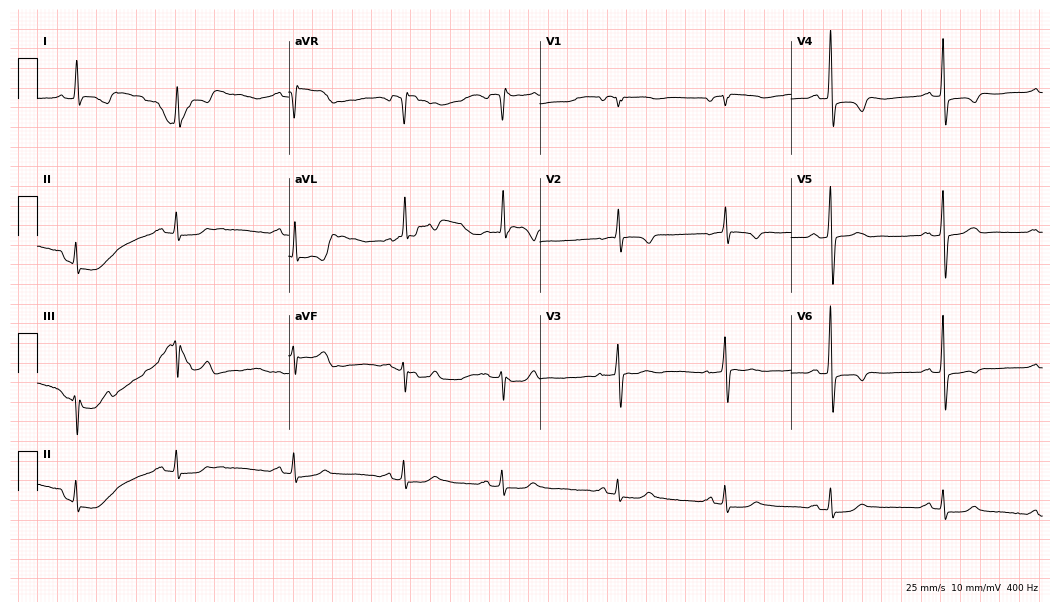
12-lead ECG from an 82-year-old male (10.2-second recording at 400 Hz). No first-degree AV block, right bundle branch block, left bundle branch block, sinus bradycardia, atrial fibrillation or sinus tachycardia recorded for this tracing. Findings outside these six are not listed.